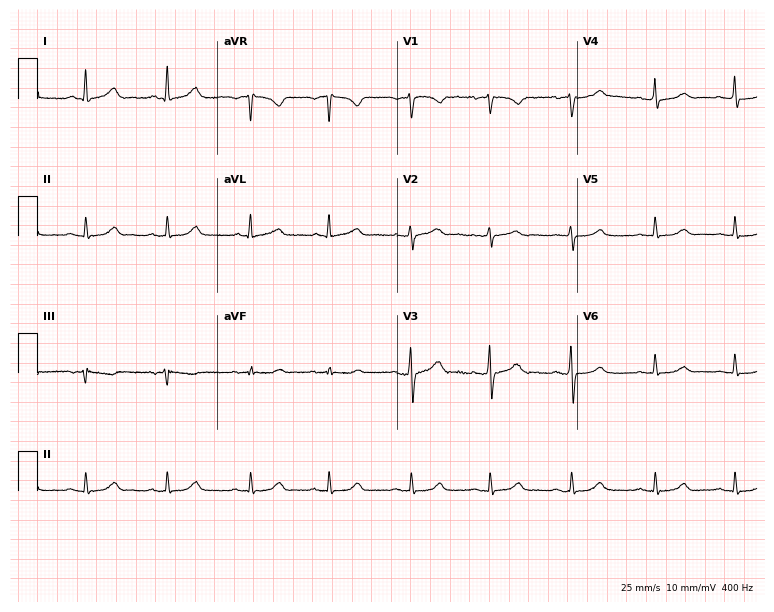
Resting 12-lead electrocardiogram (7.3-second recording at 400 Hz). Patient: a 30-year-old woman. Read as a normal ECG.